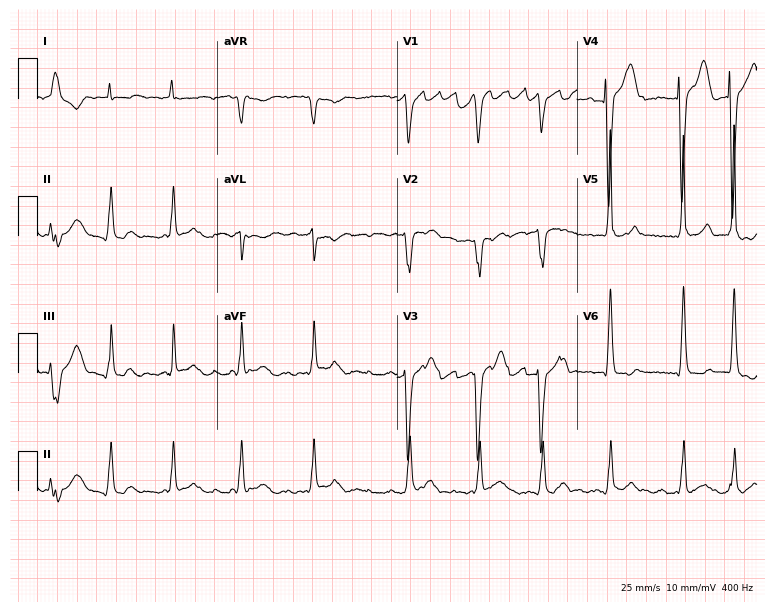
ECG — a woman, 44 years old. Screened for six findings — first-degree AV block, right bundle branch block, left bundle branch block, sinus bradycardia, atrial fibrillation, sinus tachycardia — none is recorded. Other findings, if any, are not listed.